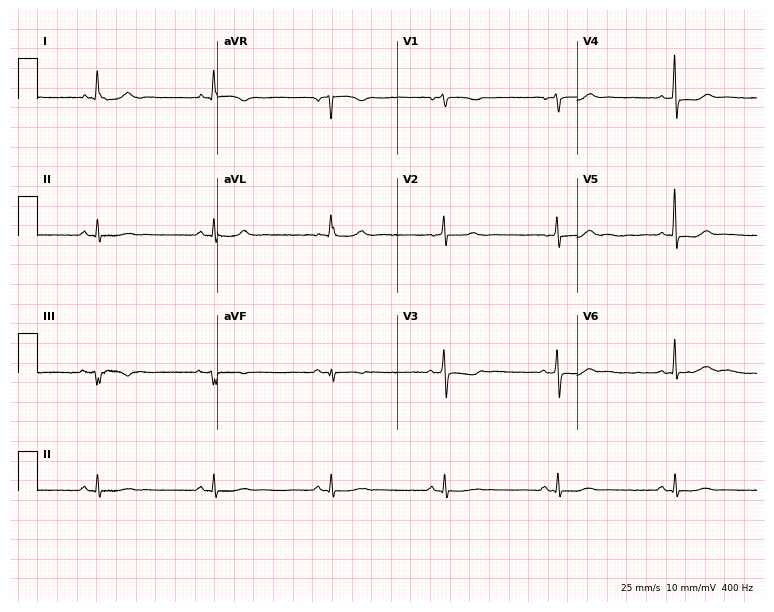
Standard 12-lead ECG recorded from a female, 49 years old. None of these six findings is recorded: first-degree AV block, right bundle branch block, left bundle branch block, sinus bradycardia, atrial fibrillation, sinus tachycardia. Findings outside these six are not listed.